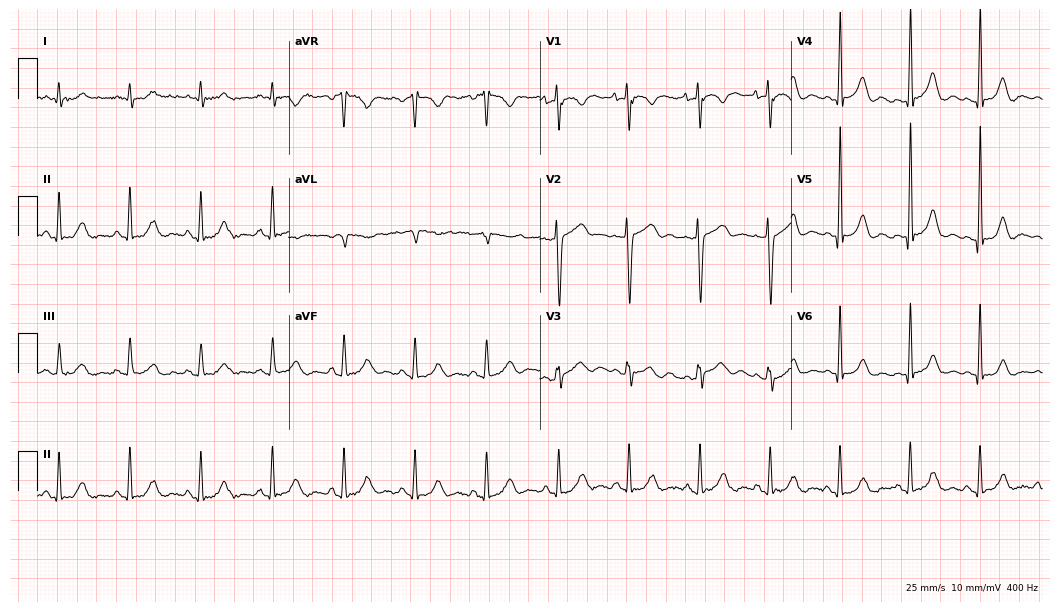
ECG (10.2-second recording at 400 Hz) — a 56-year-old female patient. Labelled as a normal ECG.